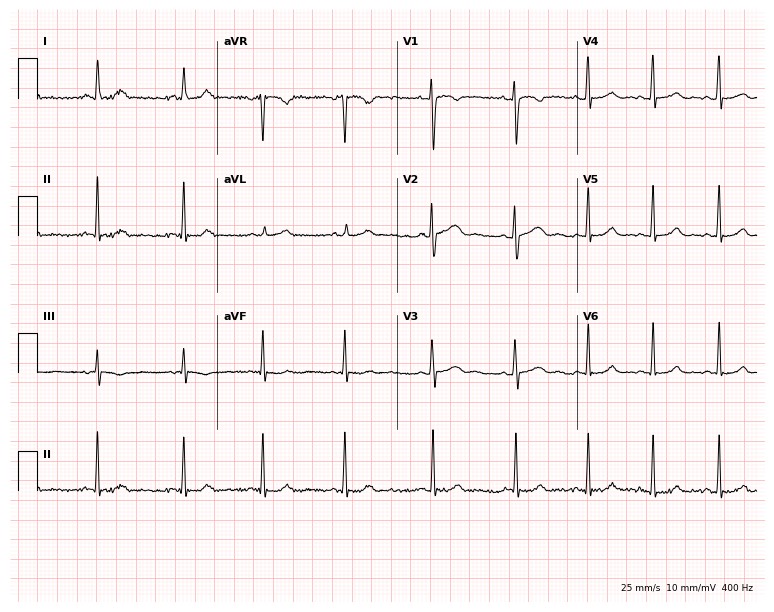
ECG — a 29-year-old woman. Screened for six findings — first-degree AV block, right bundle branch block, left bundle branch block, sinus bradycardia, atrial fibrillation, sinus tachycardia — none is recorded.